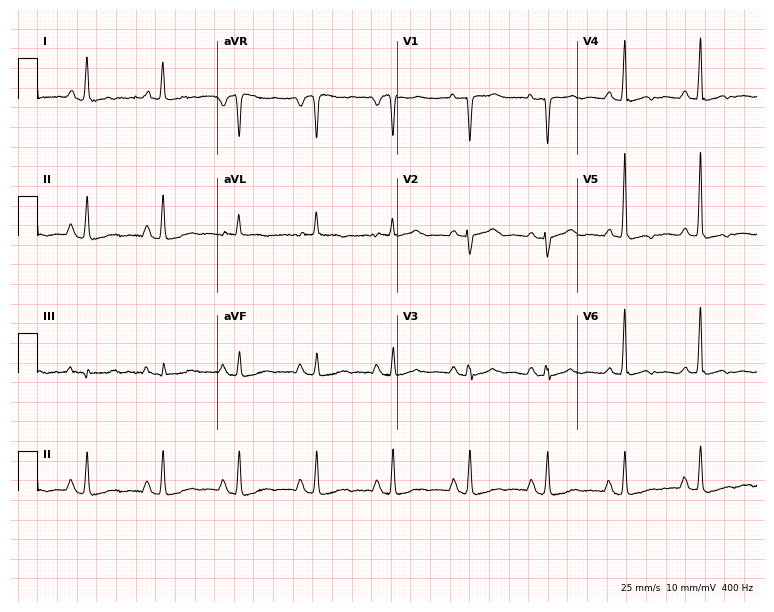
Resting 12-lead electrocardiogram. Patient: an 84-year-old woman. None of these six findings is recorded: first-degree AV block, right bundle branch block, left bundle branch block, sinus bradycardia, atrial fibrillation, sinus tachycardia.